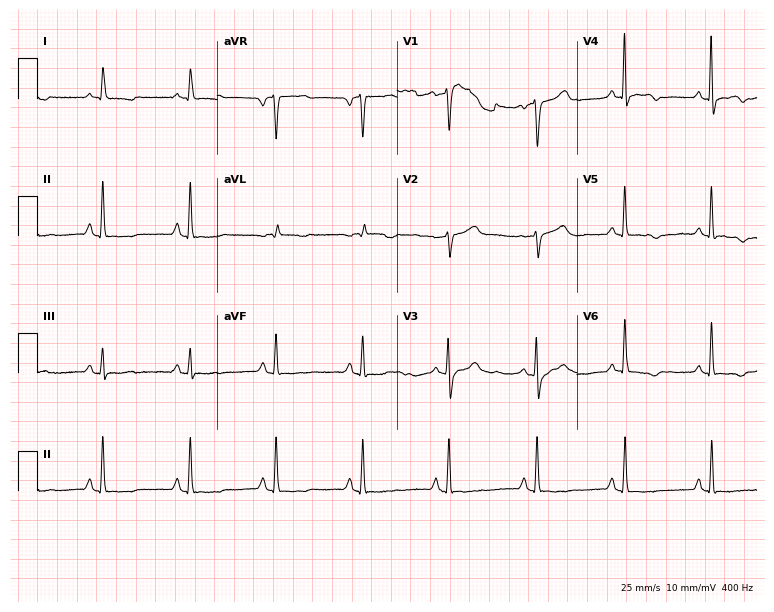
Electrocardiogram, a 69-year-old male patient. Of the six screened findings (first-degree AV block, right bundle branch block, left bundle branch block, sinus bradycardia, atrial fibrillation, sinus tachycardia), none is recorded.